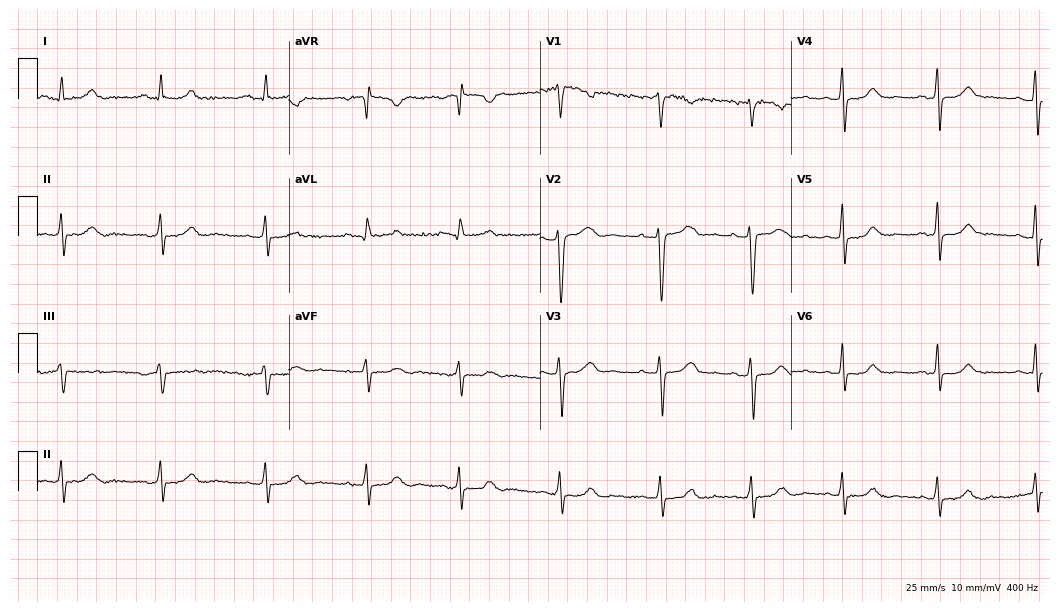
Electrocardiogram (10.2-second recording at 400 Hz), a female patient, 38 years old. Overall reading on record: normal ECG.